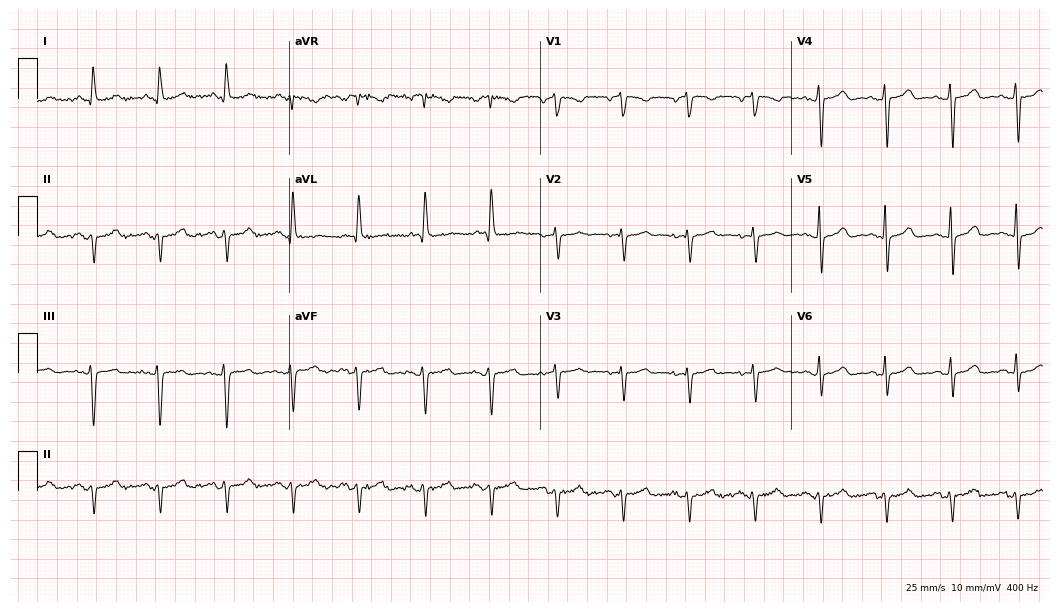
ECG (10.2-second recording at 400 Hz) — a 71-year-old female patient. Screened for six findings — first-degree AV block, right bundle branch block, left bundle branch block, sinus bradycardia, atrial fibrillation, sinus tachycardia — none is recorded. Only these six findings were labelled.